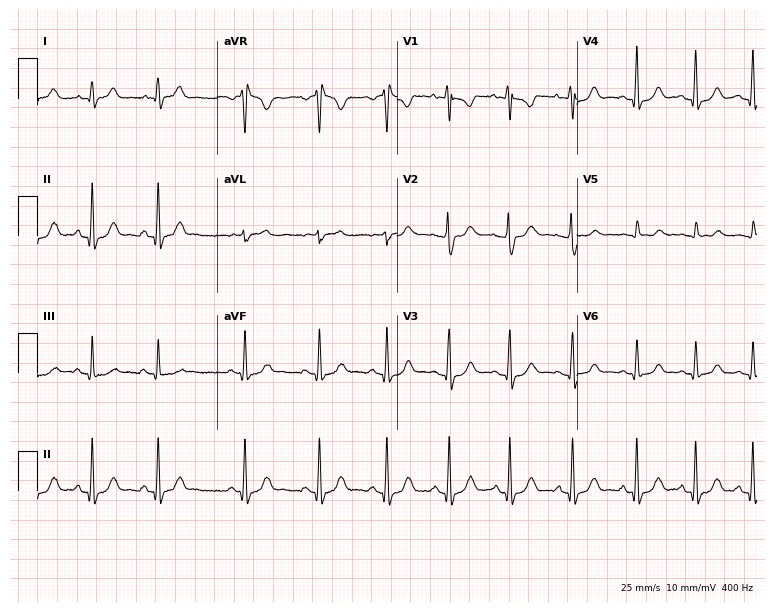
Resting 12-lead electrocardiogram (7.3-second recording at 400 Hz). Patient: an 18-year-old female. Read as a normal ECG.